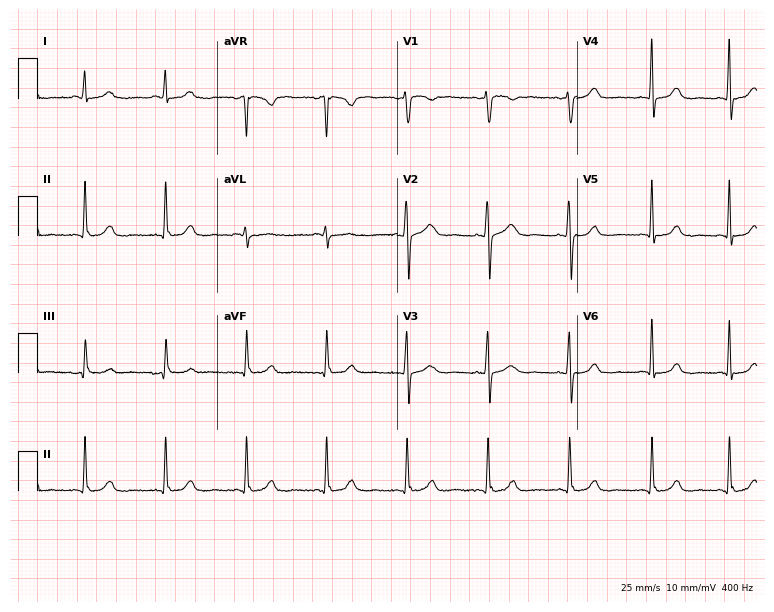
ECG (7.3-second recording at 400 Hz) — a female, 21 years old. Labelled as a normal ECG.